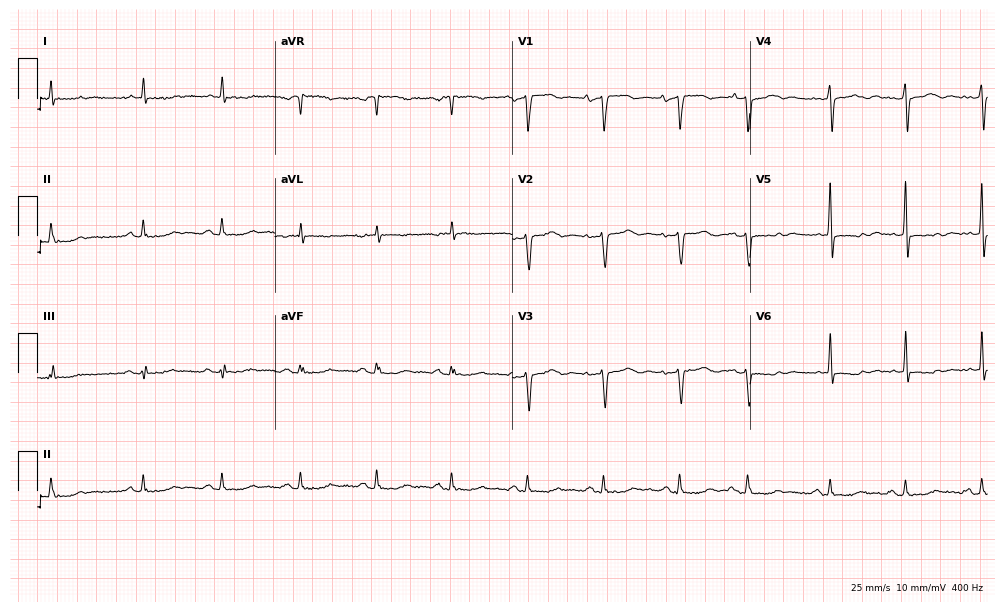
Standard 12-lead ECG recorded from a woman, 83 years old (9.7-second recording at 400 Hz). Read as a normal ECG.